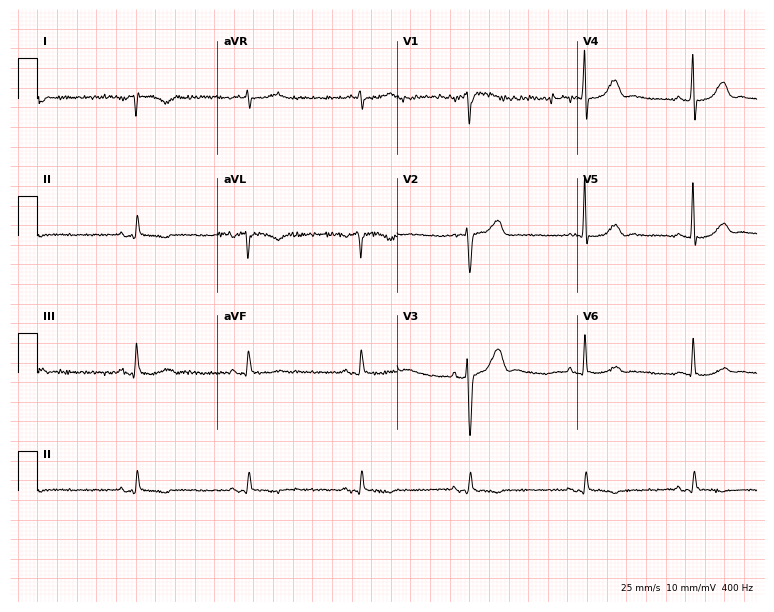
ECG — a male patient, 80 years old. Screened for six findings — first-degree AV block, right bundle branch block (RBBB), left bundle branch block (LBBB), sinus bradycardia, atrial fibrillation (AF), sinus tachycardia — none is recorded. Other findings, if any, are not listed.